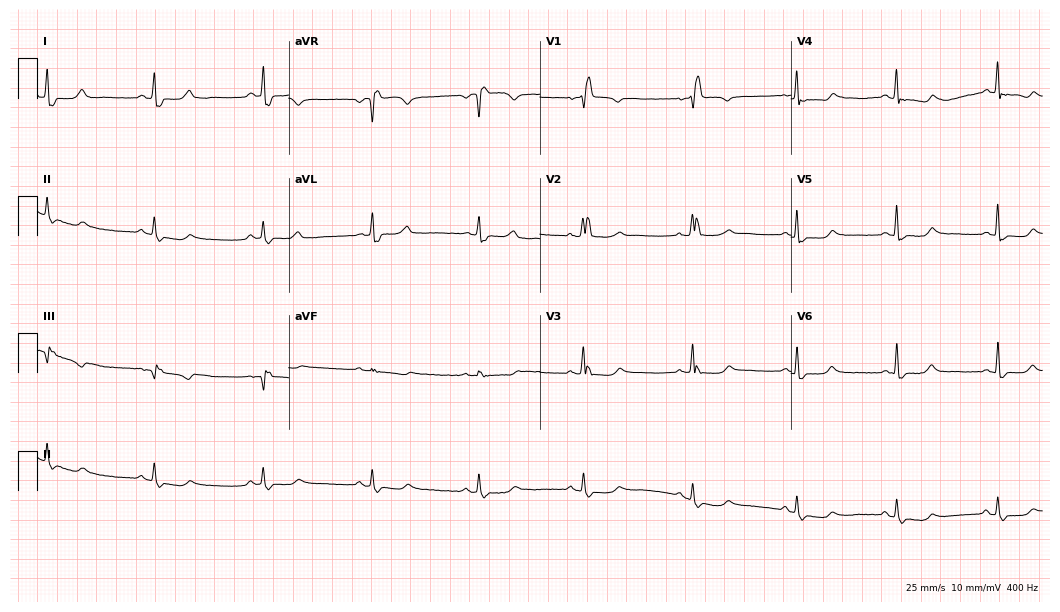
Electrocardiogram, a 74-year-old female. Of the six screened findings (first-degree AV block, right bundle branch block, left bundle branch block, sinus bradycardia, atrial fibrillation, sinus tachycardia), none is recorded. Only these six findings were labelled.